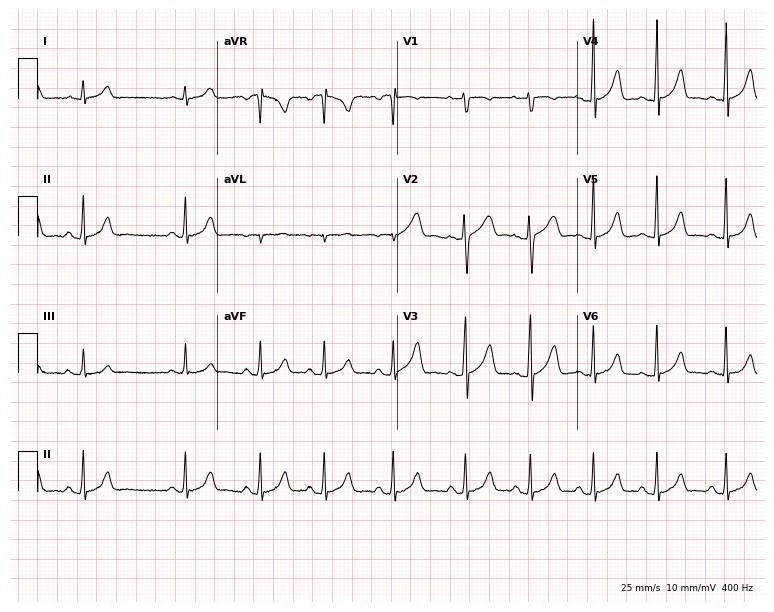
Electrocardiogram (7.3-second recording at 400 Hz), a 22-year-old female patient. Overall reading on record: normal ECG.